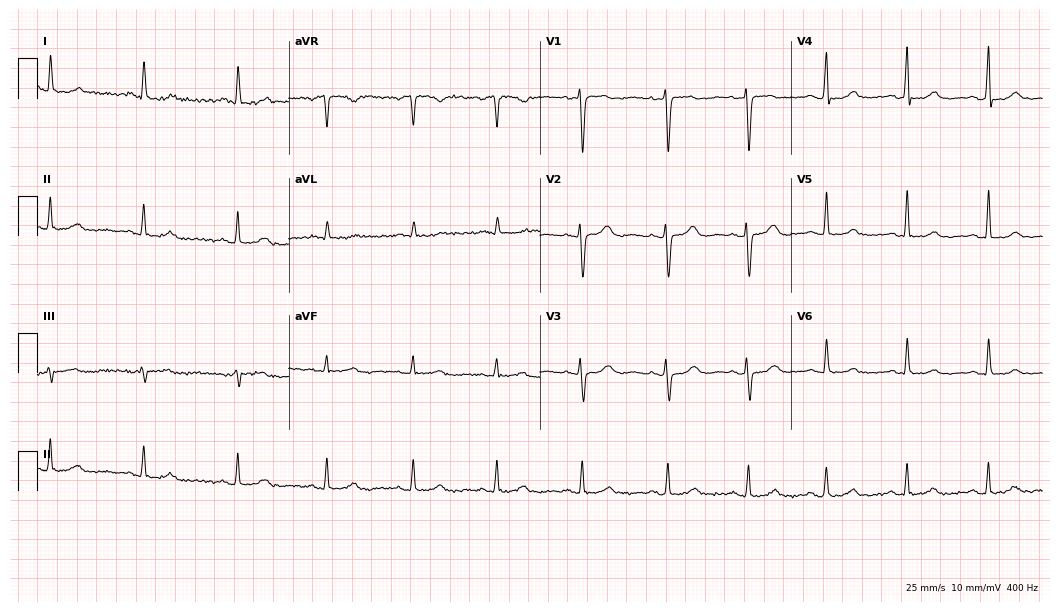
Electrocardiogram, a 64-year-old female patient. Of the six screened findings (first-degree AV block, right bundle branch block (RBBB), left bundle branch block (LBBB), sinus bradycardia, atrial fibrillation (AF), sinus tachycardia), none is recorded.